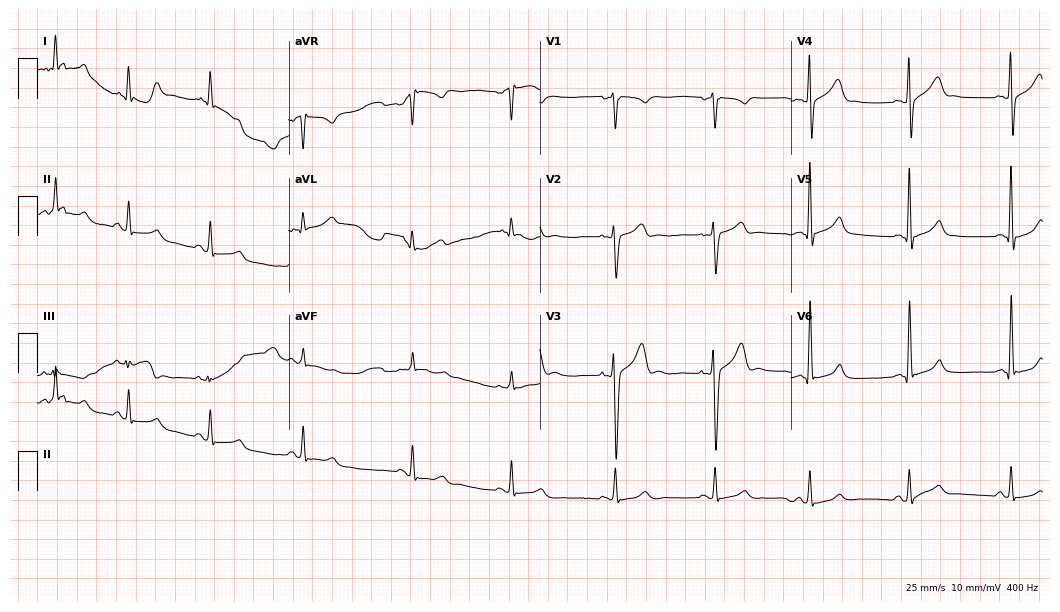
Electrocardiogram, a male patient, 26 years old. Overall reading on record: normal ECG.